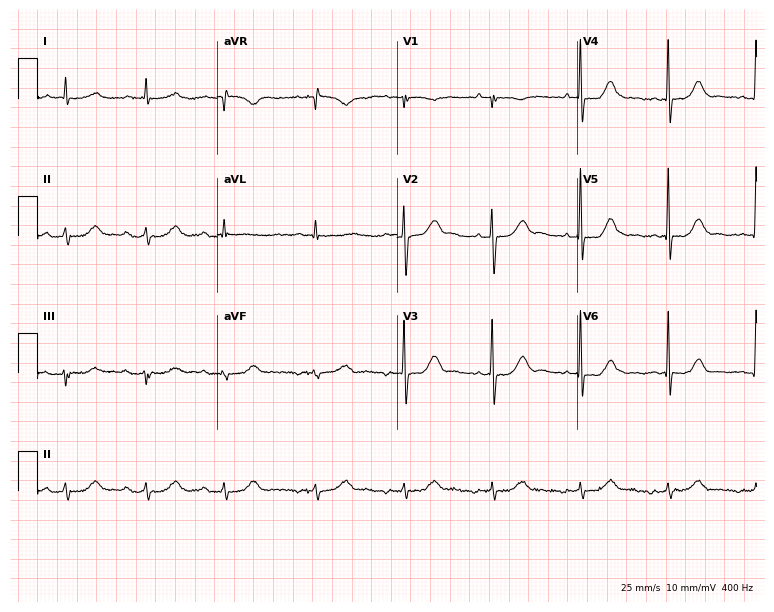
ECG (7.3-second recording at 400 Hz) — an 84-year-old female patient. Labelled as a normal ECG.